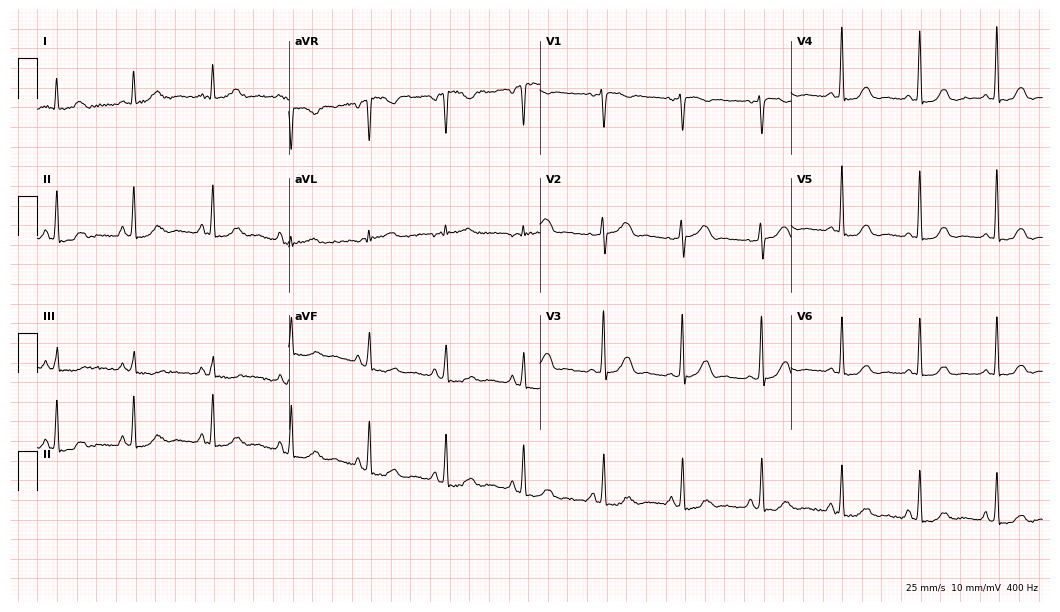
Resting 12-lead electrocardiogram. Patient: a female, 47 years old. Read as a normal ECG.